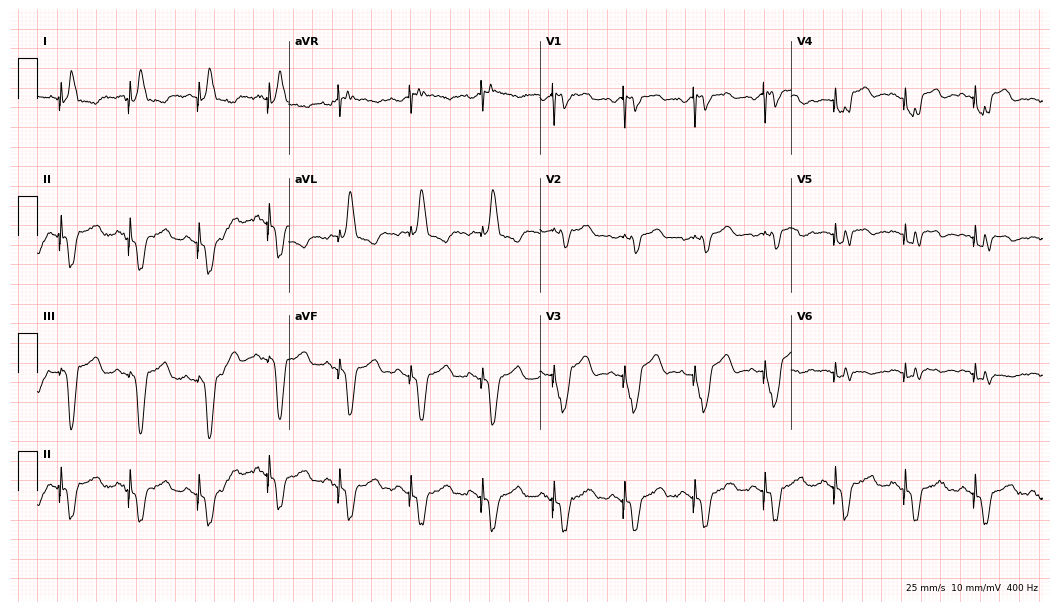
ECG (10.2-second recording at 400 Hz) — an 81-year-old male patient. Screened for six findings — first-degree AV block, right bundle branch block, left bundle branch block, sinus bradycardia, atrial fibrillation, sinus tachycardia — none is recorded.